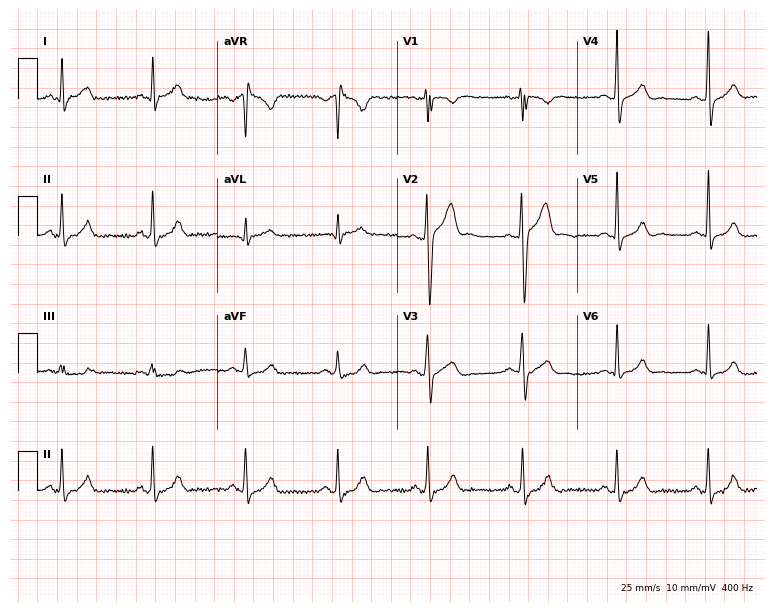
Standard 12-lead ECG recorded from a 38-year-old male. None of these six findings is recorded: first-degree AV block, right bundle branch block (RBBB), left bundle branch block (LBBB), sinus bradycardia, atrial fibrillation (AF), sinus tachycardia. Findings outside these six are not listed.